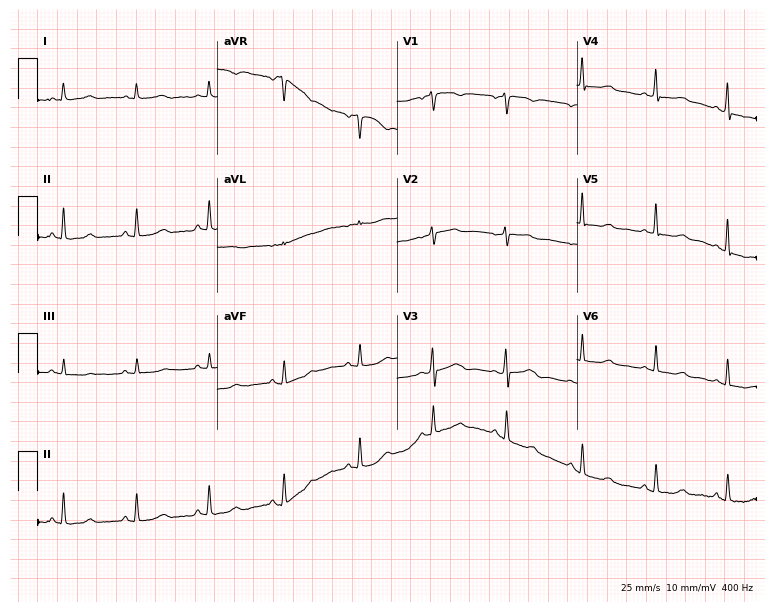
12-lead ECG from a woman, 46 years old (7.3-second recording at 400 Hz). No first-degree AV block, right bundle branch block, left bundle branch block, sinus bradycardia, atrial fibrillation or sinus tachycardia recorded for this tracing.